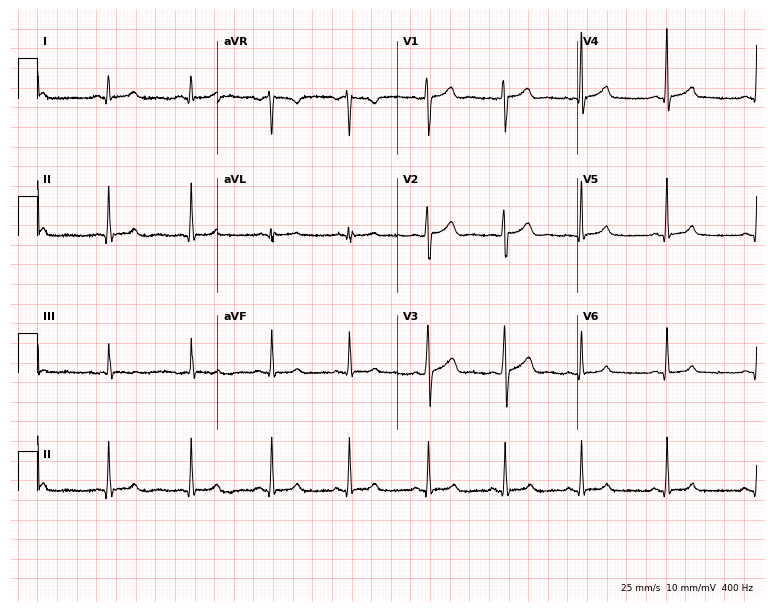
12-lead ECG (7.3-second recording at 400 Hz) from a 24-year-old man. Labelled as a normal ECG.